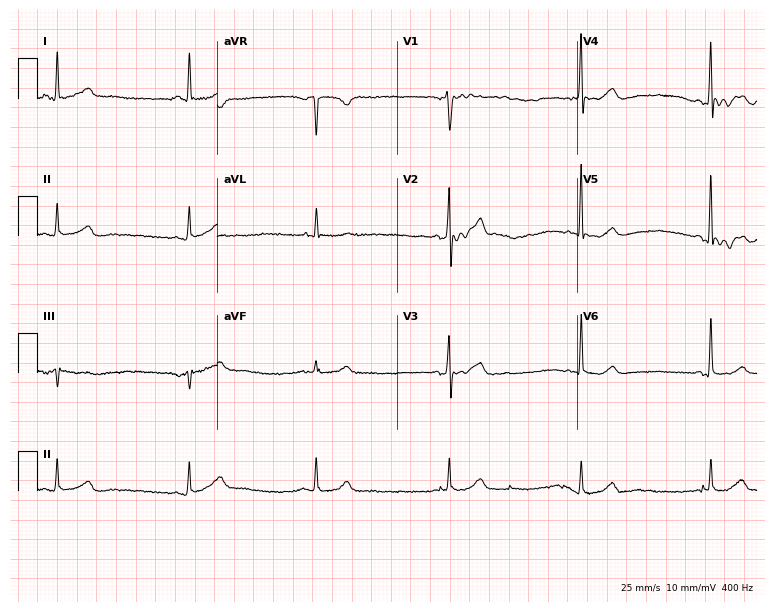
12-lead ECG from a 50-year-old male. Findings include sinus bradycardia (a sinus rate of 50 beats per minute or less).